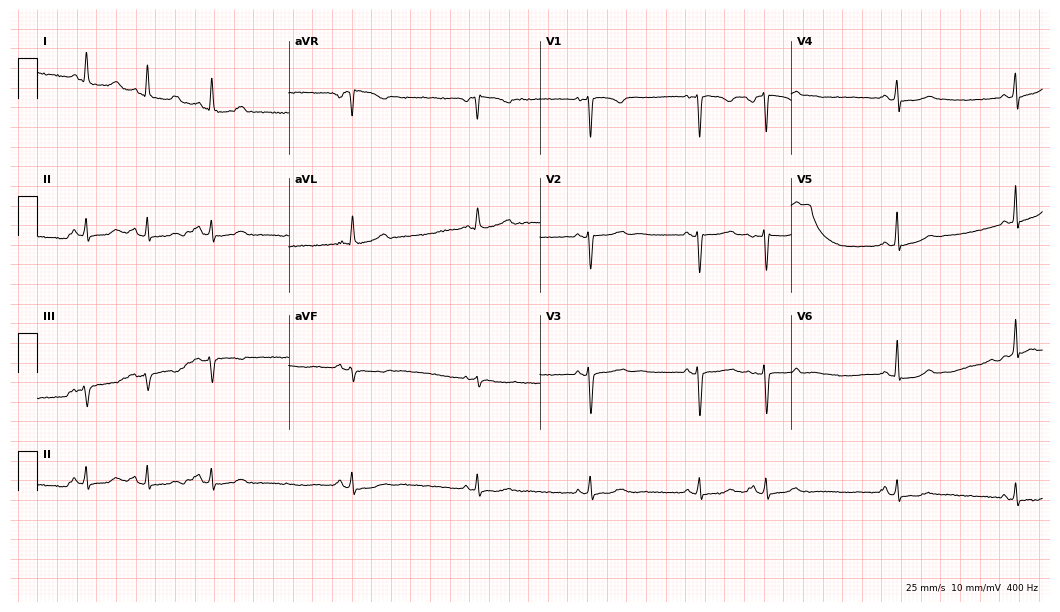
12-lead ECG from a 46-year-old woman (10.2-second recording at 400 Hz). No first-degree AV block, right bundle branch block, left bundle branch block, sinus bradycardia, atrial fibrillation or sinus tachycardia recorded for this tracing.